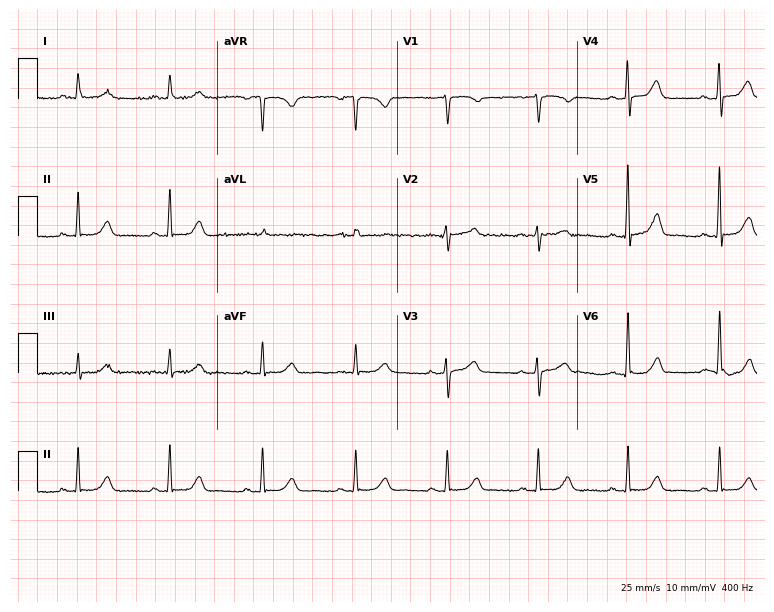
12-lead ECG from a 62-year-old female (7.3-second recording at 400 Hz). Recorded interpretation: within normal limits.